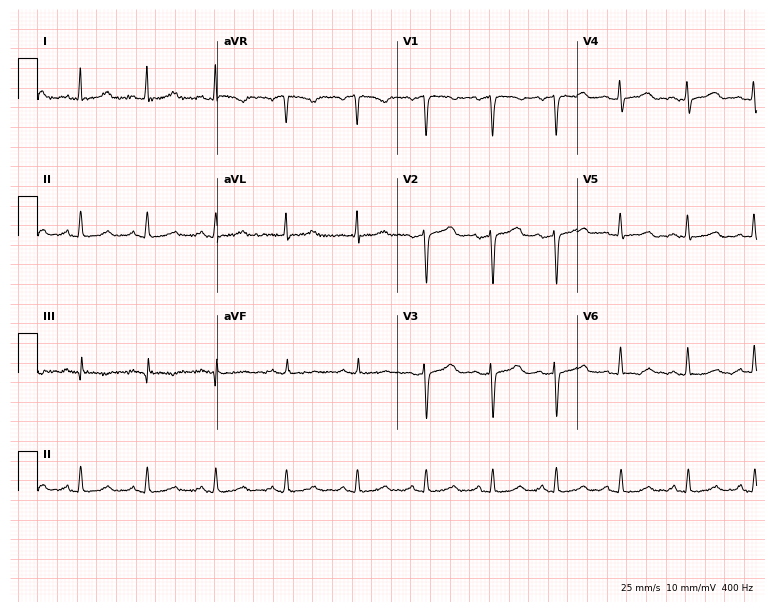
Resting 12-lead electrocardiogram (7.3-second recording at 400 Hz). Patient: a female, 46 years old. Read as a normal ECG.